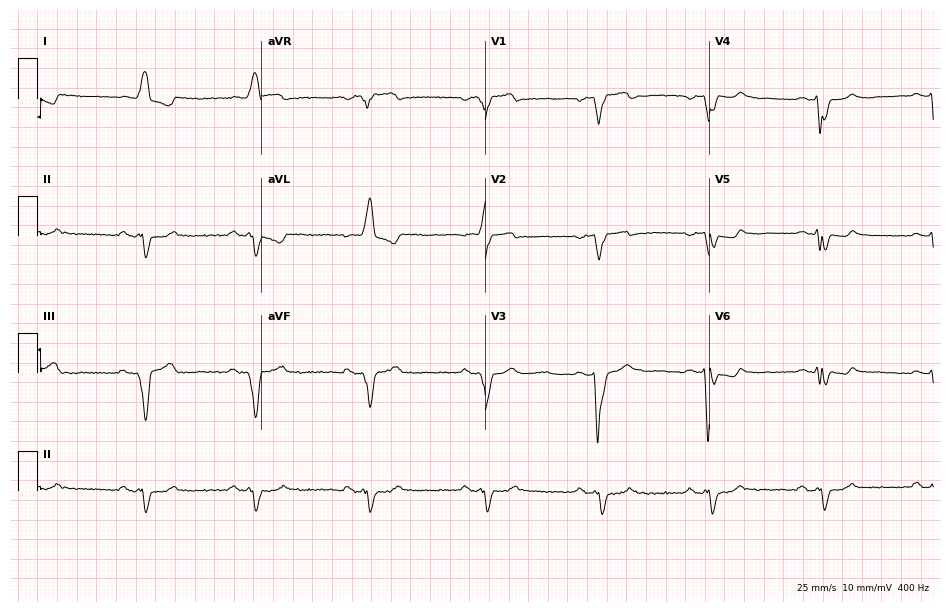
Resting 12-lead electrocardiogram (9.1-second recording at 400 Hz). Patient: a man, 70 years old. The tracing shows left bundle branch block (LBBB).